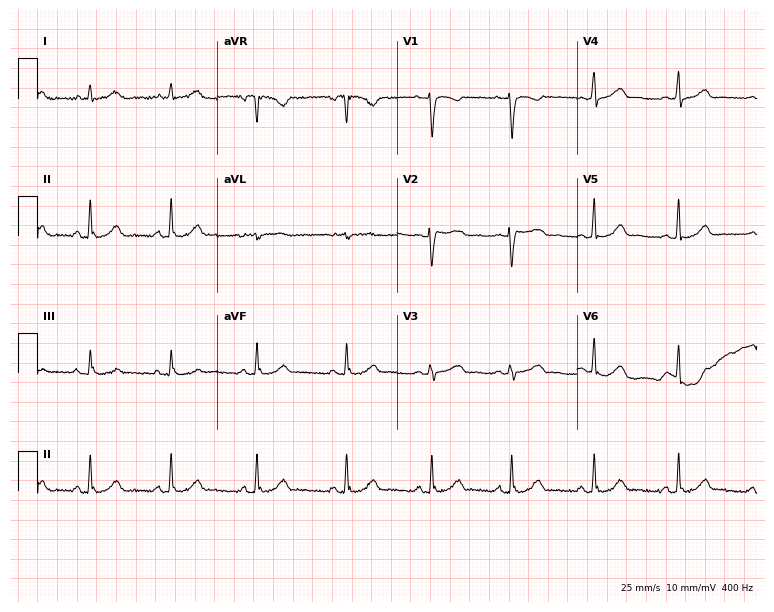
Electrocardiogram, a 36-year-old female. Overall reading on record: normal ECG.